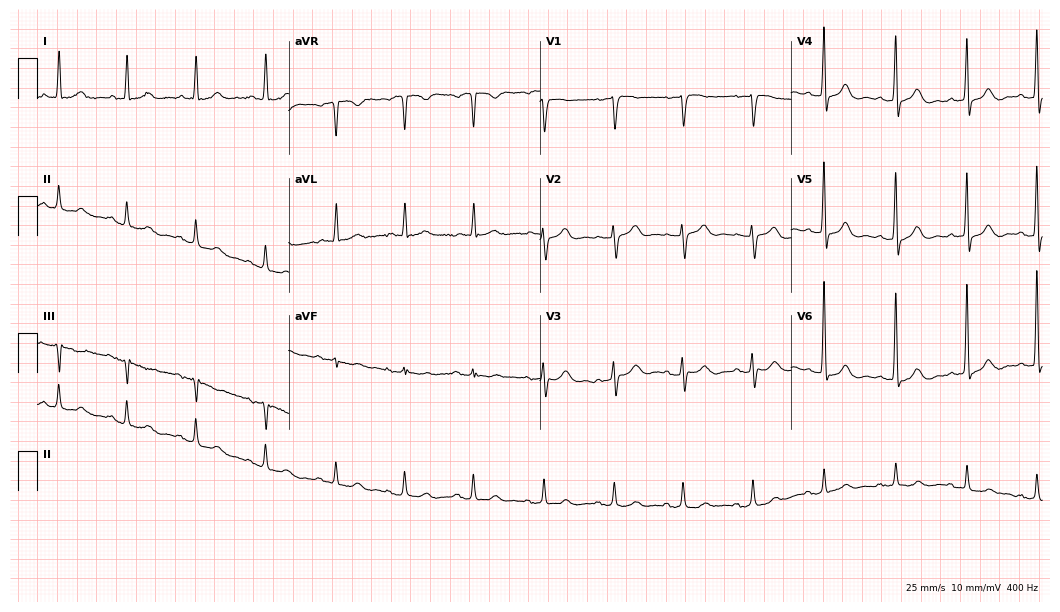
ECG (10.2-second recording at 400 Hz) — a 78-year-old female patient. Labelled as a normal ECG.